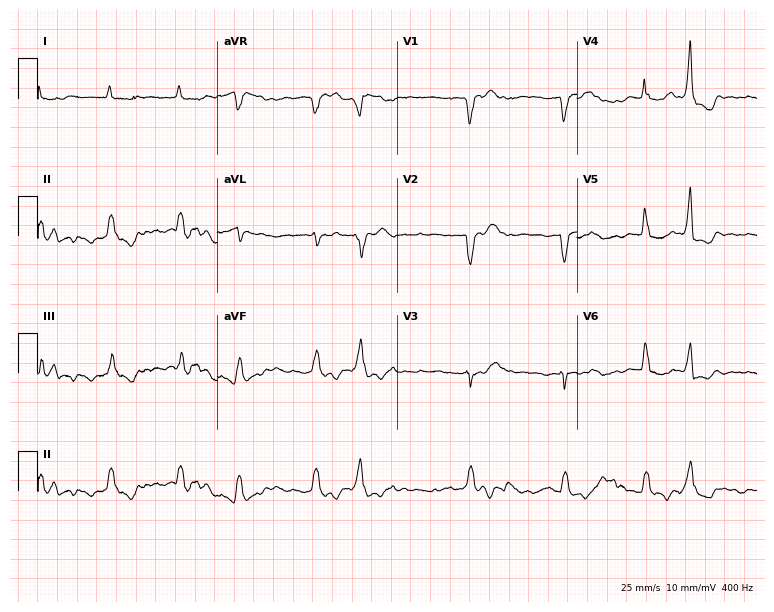
Electrocardiogram, a male patient, 74 years old. Interpretation includes atrial fibrillation (AF).